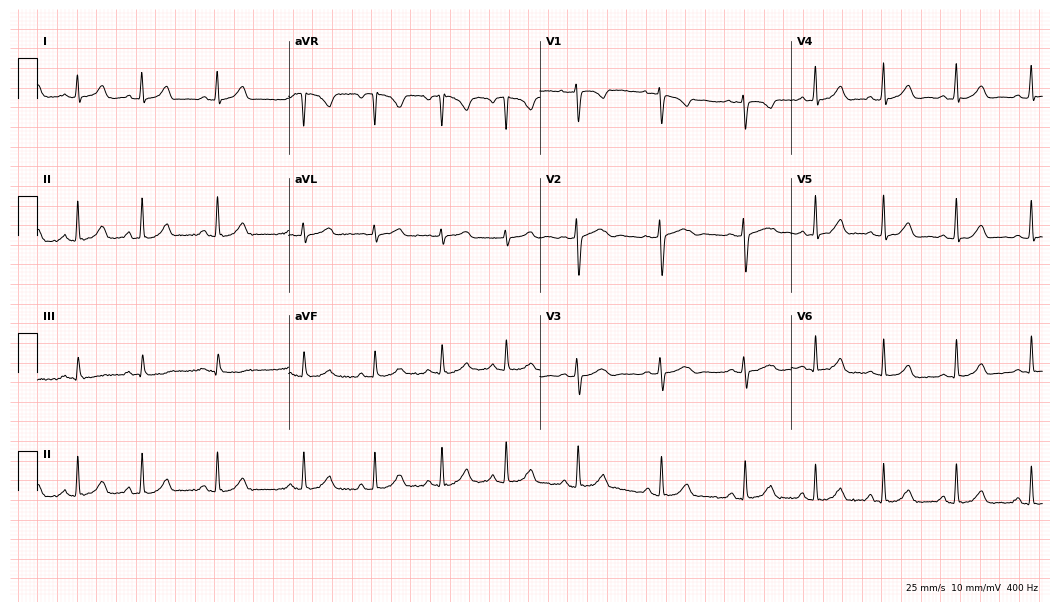
Standard 12-lead ECG recorded from a 23-year-old female (10.2-second recording at 400 Hz). Read as a normal ECG.